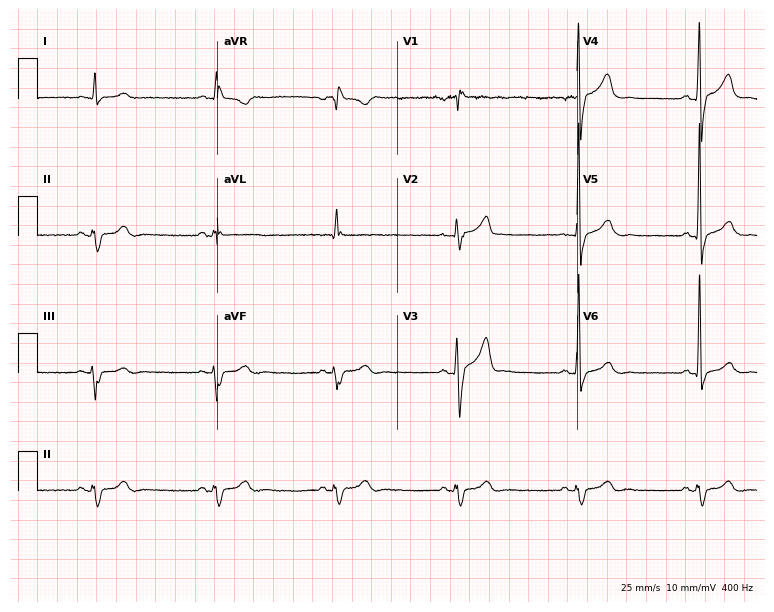
Electrocardiogram, a male patient, 57 years old. Interpretation includes sinus bradycardia (a sinus rate of 50 beats per minute or less).